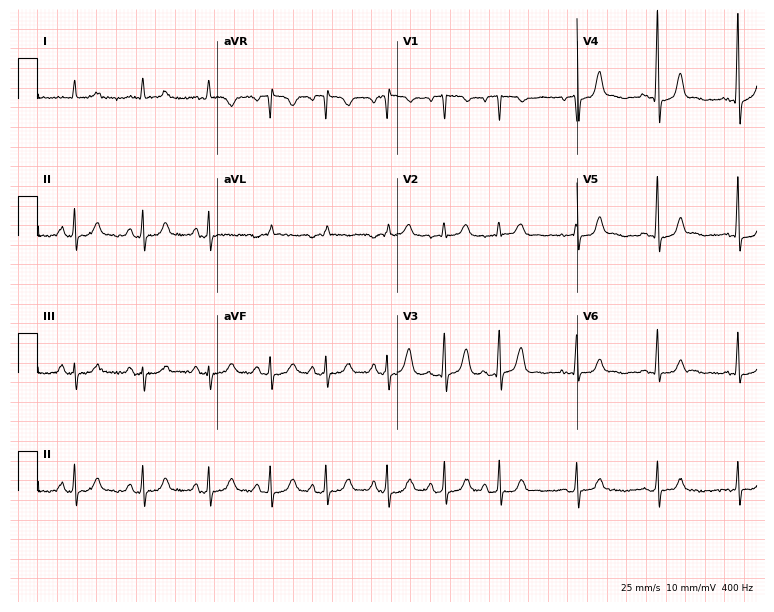
Standard 12-lead ECG recorded from a 74-year-old female (7.3-second recording at 400 Hz). None of these six findings is recorded: first-degree AV block, right bundle branch block (RBBB), left bundle branch block (LBBB), sinus bradycardia, atrial fibrillation (AF), sinus tachycardia. Findings outside these six are not listed.